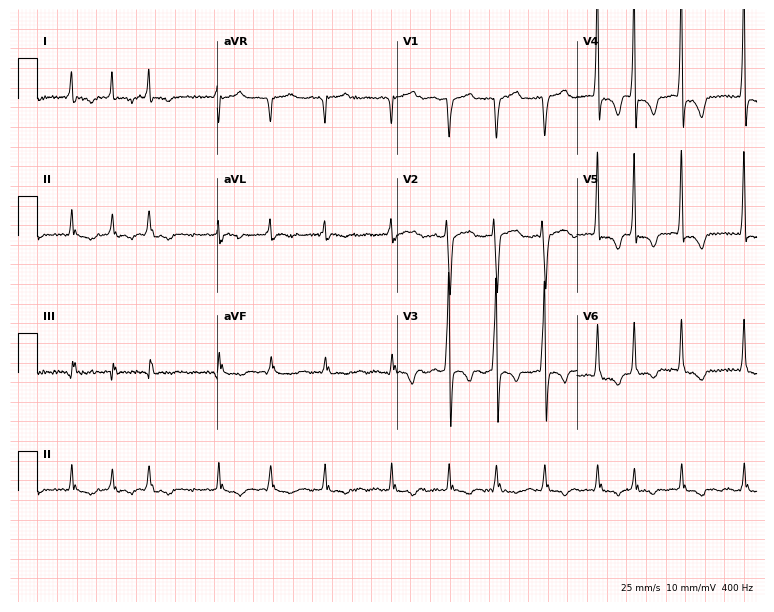
12-lead ECG from an 83-year-old male. Findings include atrial fibrillation.